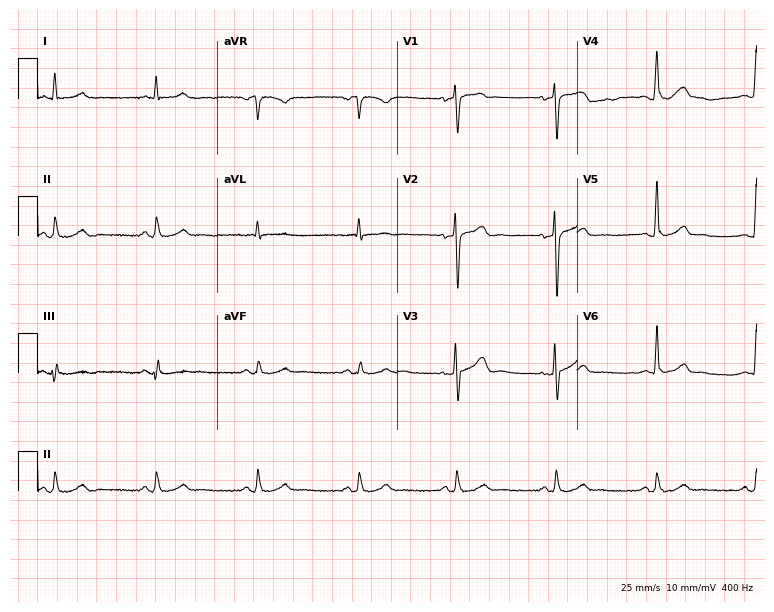
Electrocardiogram (7.3-second recording at 400 Hz), a male patient, 46 years old. Overall reading on record: normal ECG.